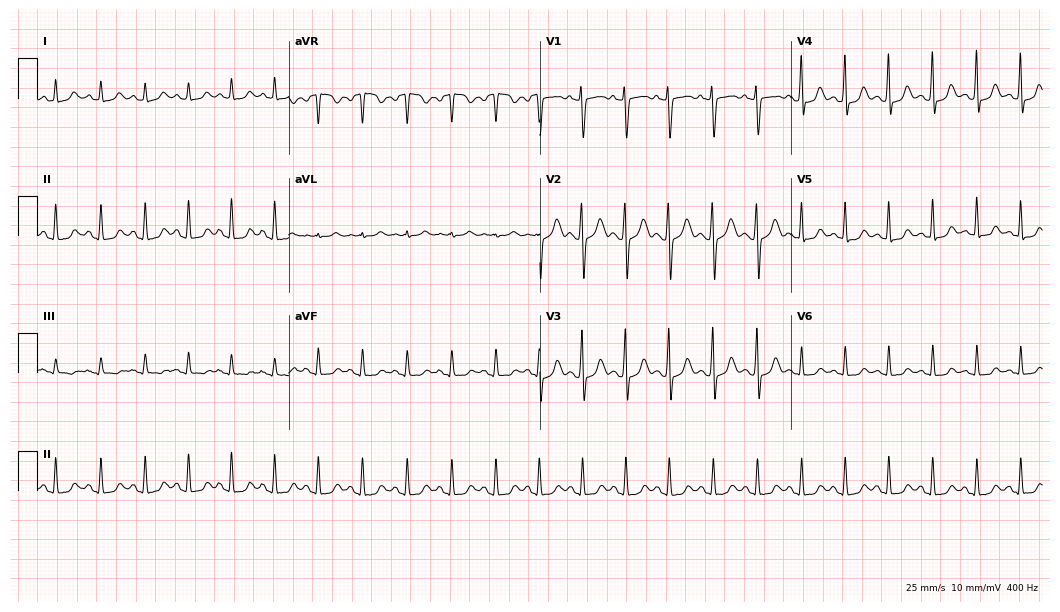
Electrocardiogram, a 20-year-old female patient. Interpretation includes sinus tachycardia (a sinus rate of 100 beats per minute or more).